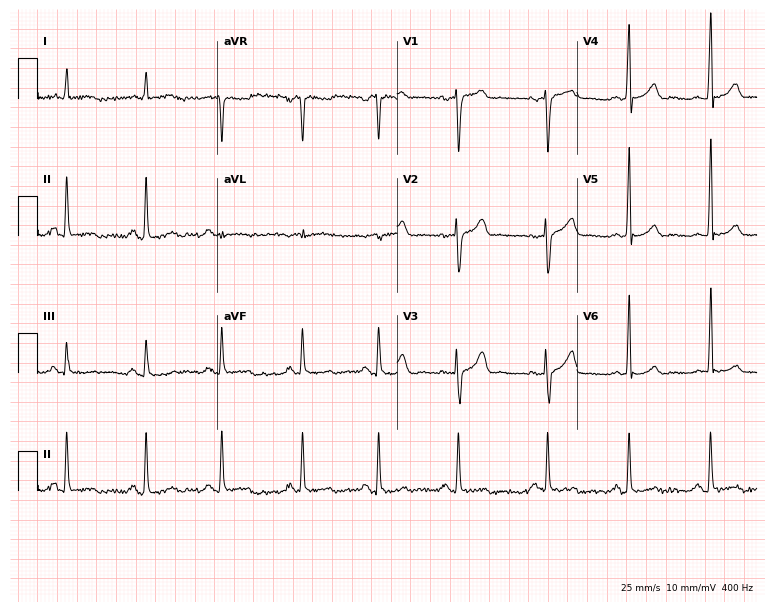
12-lead ECG (7.3-second recording at 400 Hz) from a 52-year-old man. Labelled as a normal ECG.